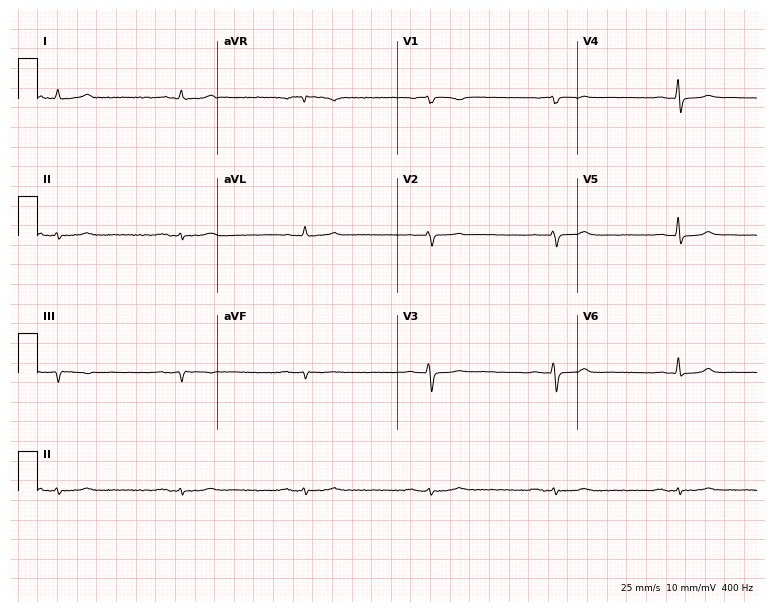
12-lead ECG from a 76-year-old male patient. Shows first-degree AV block, sinus bradycardia (a sinus rate of 50 beats per minute or less).